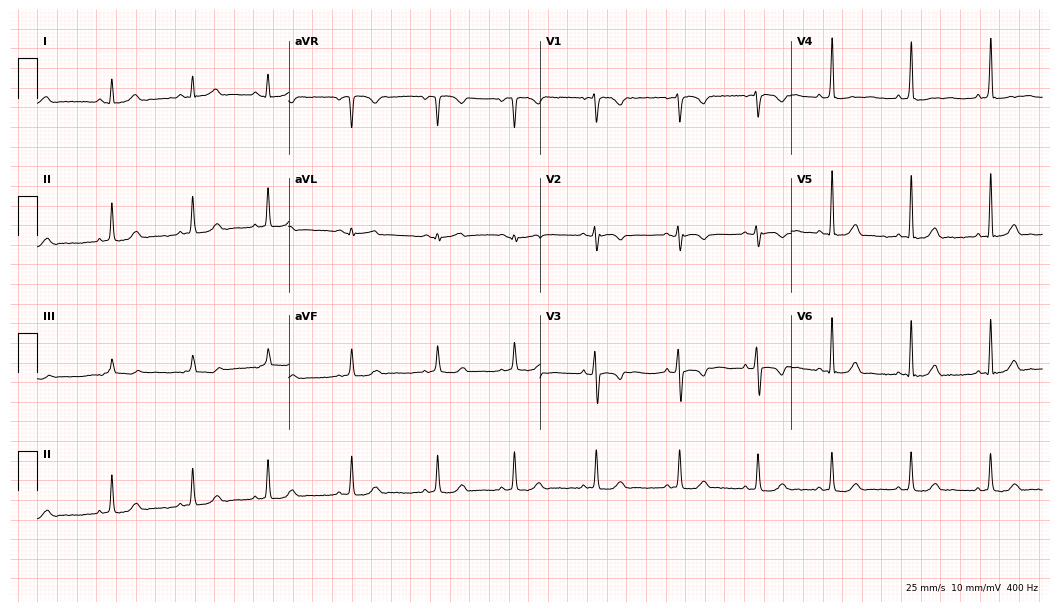
12-lead ECG from a 20-year-old female patient (10.2-second recording at 400 Hz). Recorded interpretation: within normal limits.